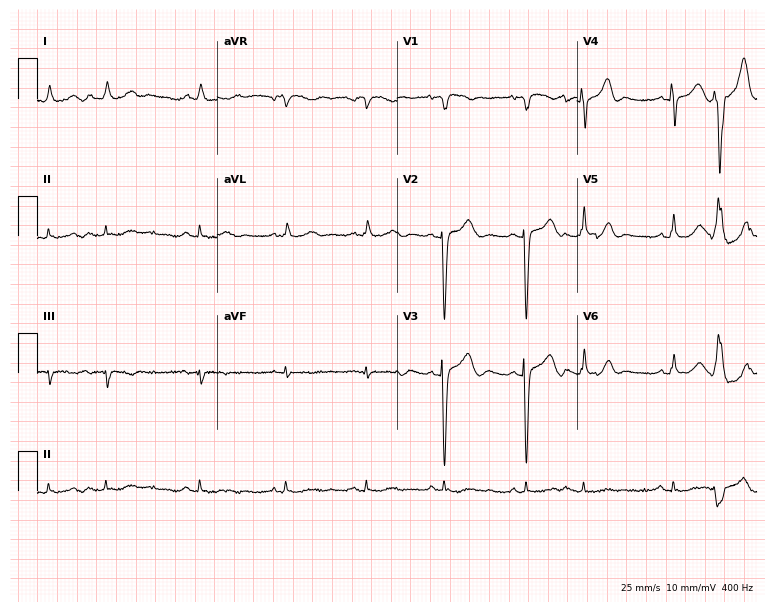
Resting 12-lead electrocardiogram. Patient: a female, 83 years old. None of these six findings is recorded: first-degree AV block, right bundle branch block, left bundle branch block, sinus bradycardia, atrial fibrillation, sinus tachycardia. Only these six findings were labelled.